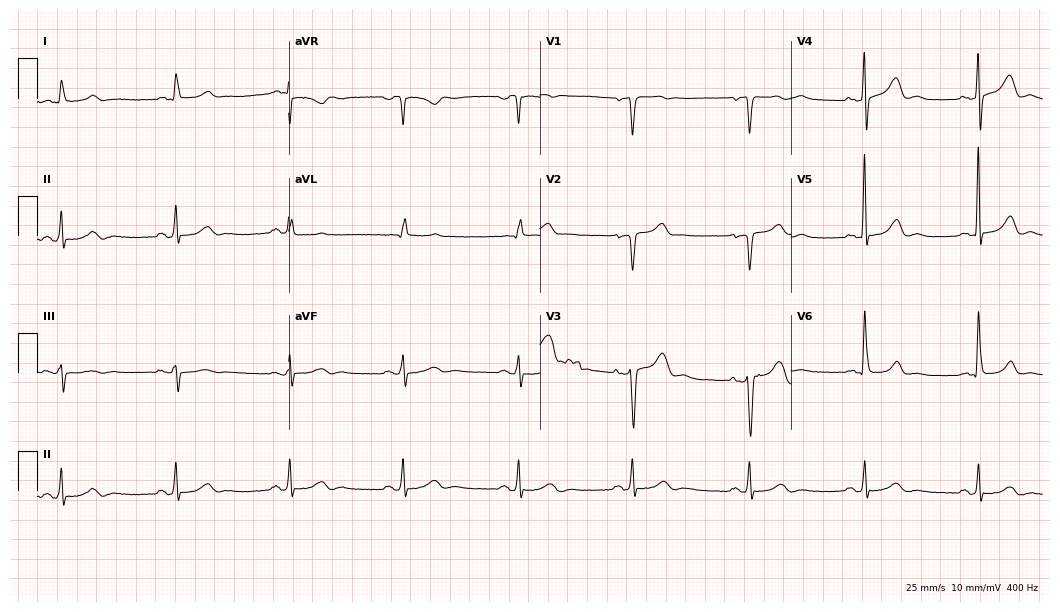
ECG (10.2-second recording at 400 Hz) — a 70-year-old male. Labelled as a normal ECG.